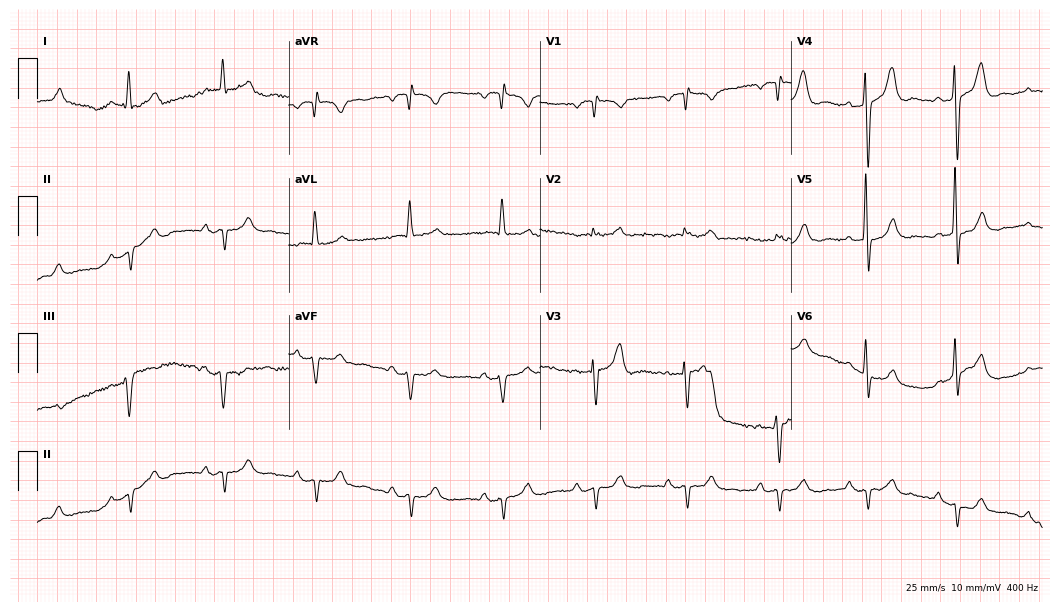
ECG — a 70-year-old man. Screened for six findings — first-degree AV block, right bundle branch block (RBBB), left bundle branch block (LBBB), sinus bradycardia, atrial fibrillation (AF), sinus tachycardia — none is recorded.